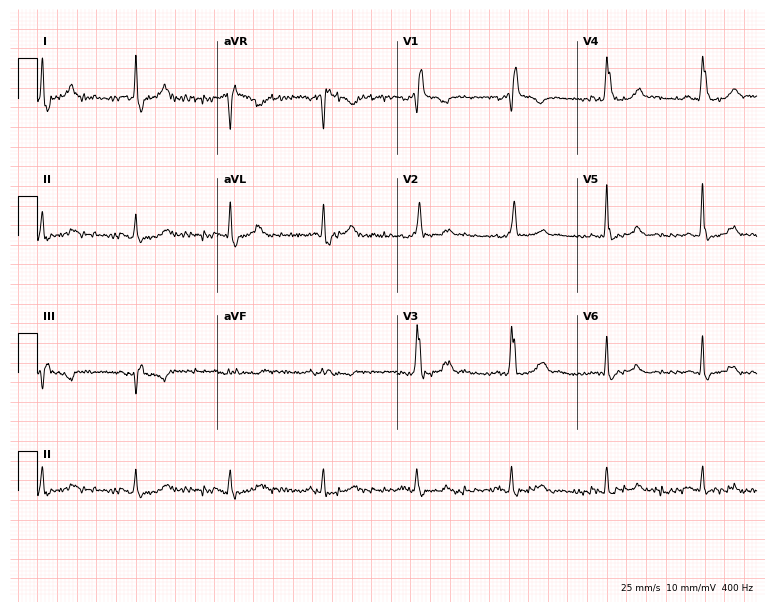
12-lead ECG from an 83-year-old male patient. Shows right bundle branch block.